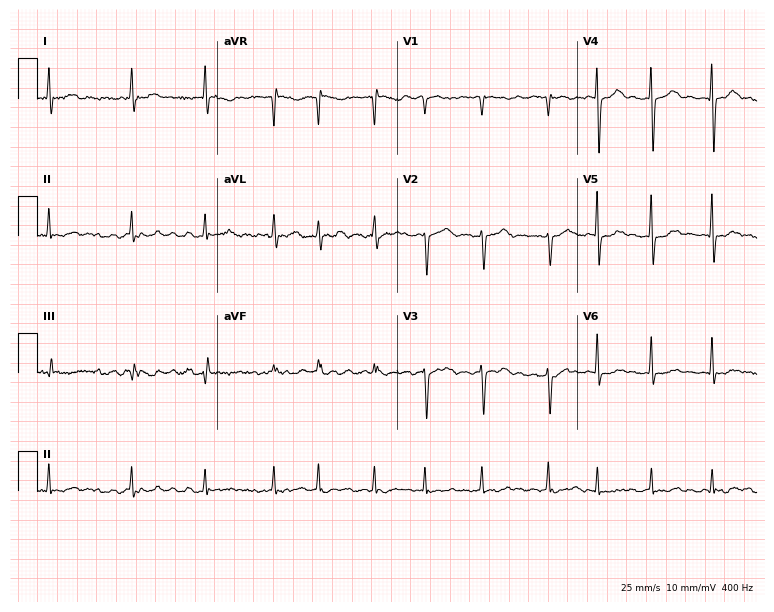
Standard 12-lead ECG recorded from a woman, 71 years old. The tracing shows atrial fibrillation.